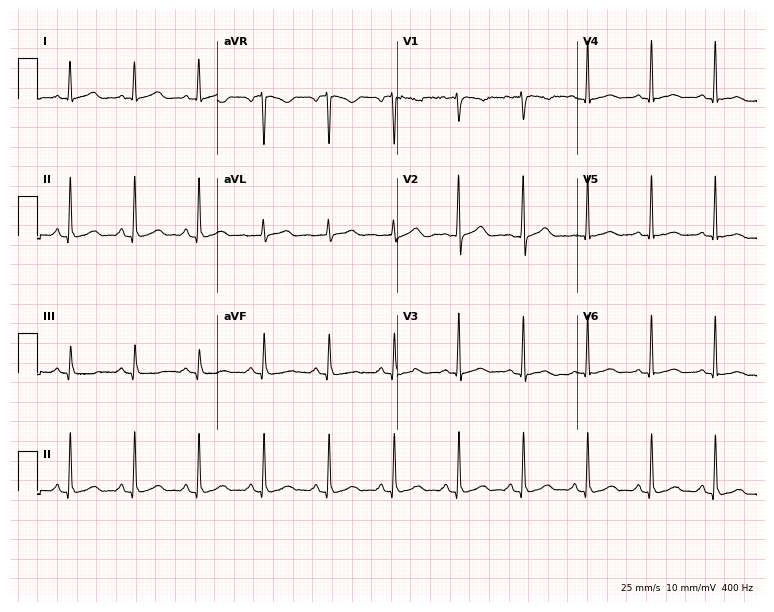
12-lead ECG from a 50-year-old female patient (7.3-second recording at 400 Hz). Recorded interpretation: within normal limits.